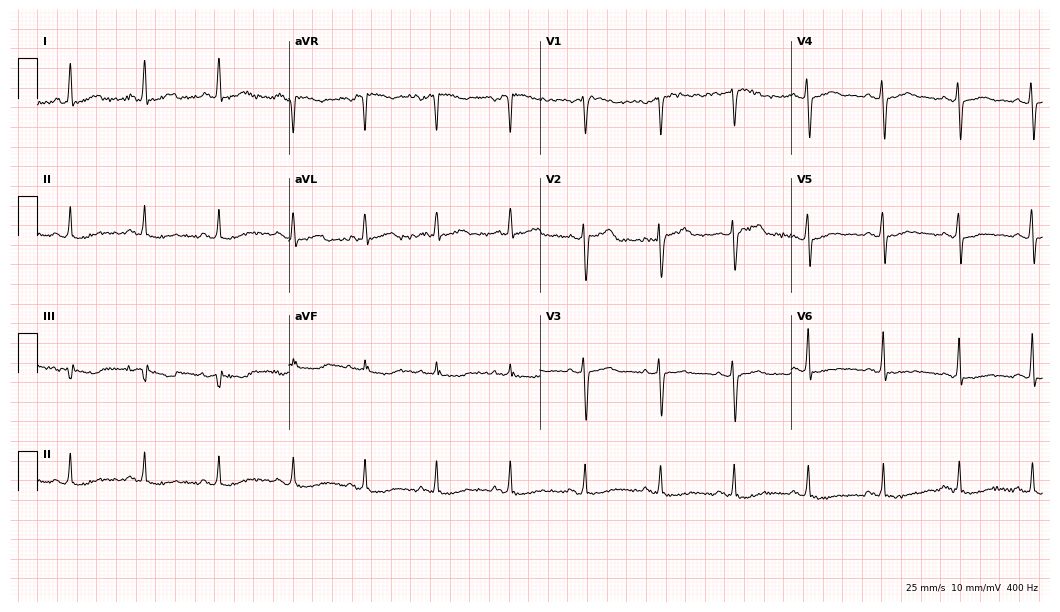
12-lead ECG from a 40-year-old female (10.2-second recording at 400 Hz). Recorded interpretation: within normal limits.